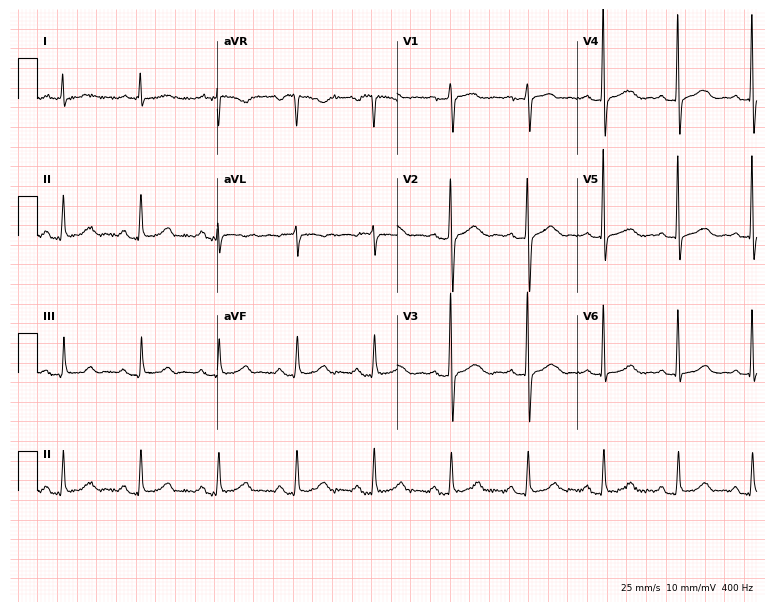
Electrocardiogram (7.3-second recording at 400 Hz), a female, 62 years old. Of the six screened findings (first-degree AV block, right bundle branch block, left bundle branch block, sinus bradycardia, atrial fibrillation, sinus tachycardia), none is recorded.